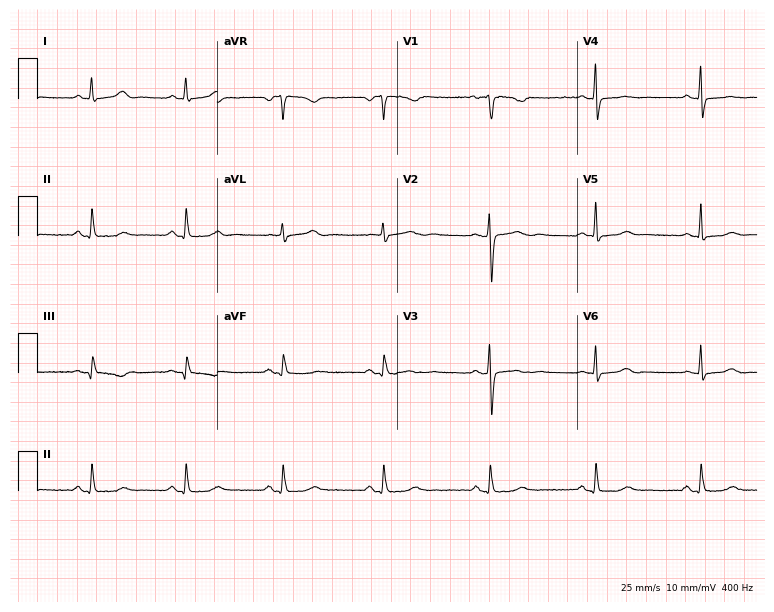
Standard 12-lead ECG recorded from a woman, 42 years old. None of these six findings is recorded: first-degree AV block, right bundle branch block (RBBB), left bundle branch block (LBBB), sinus bradycardia, atrial fibrillation (AF), sinus tachycardia. Findings outside these six are not listed.